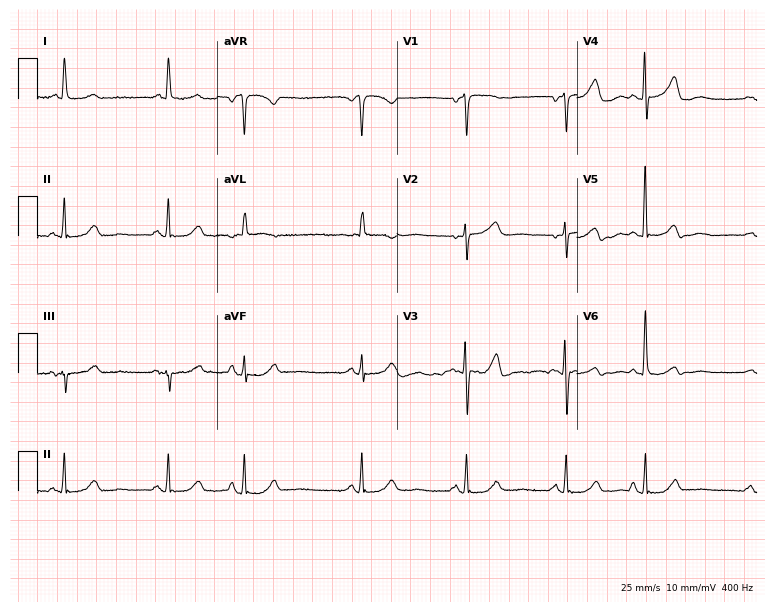
Standard 12-lead ECG recorded from a 67-year-old man. None of these six findings is recorded: first-degree AV block, right bundle branch block (RBBB), left bundle branch block (LBBB), sinus bradycardia, atrial fibrillation (AF), sinus tachycardia.